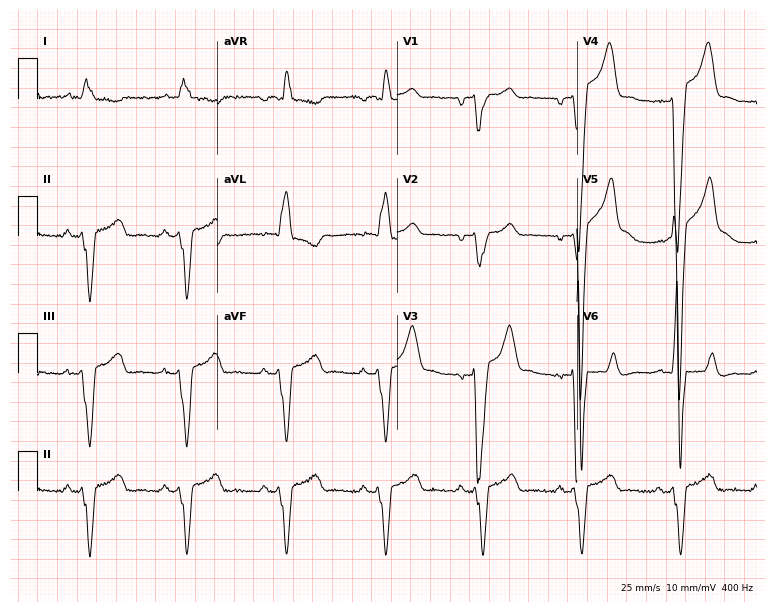
12-lead ECG from a man, 82 years old. Findings include left bundle branch block (LBBB).